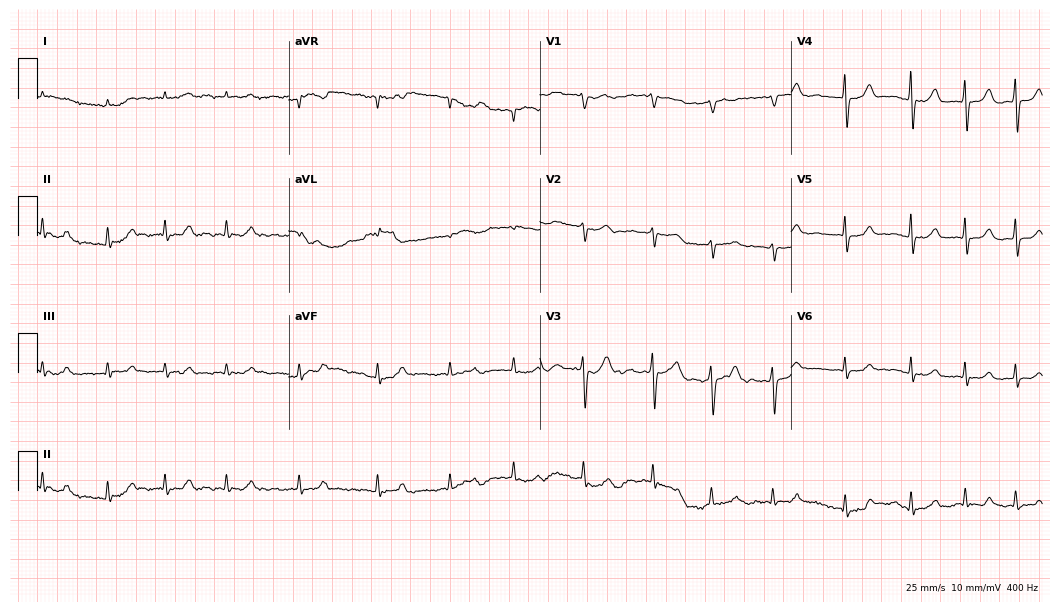
Resting 12-lead electrocardiogram. Patient: a man, 80 years old. The tracing shows atrial fibrillation.